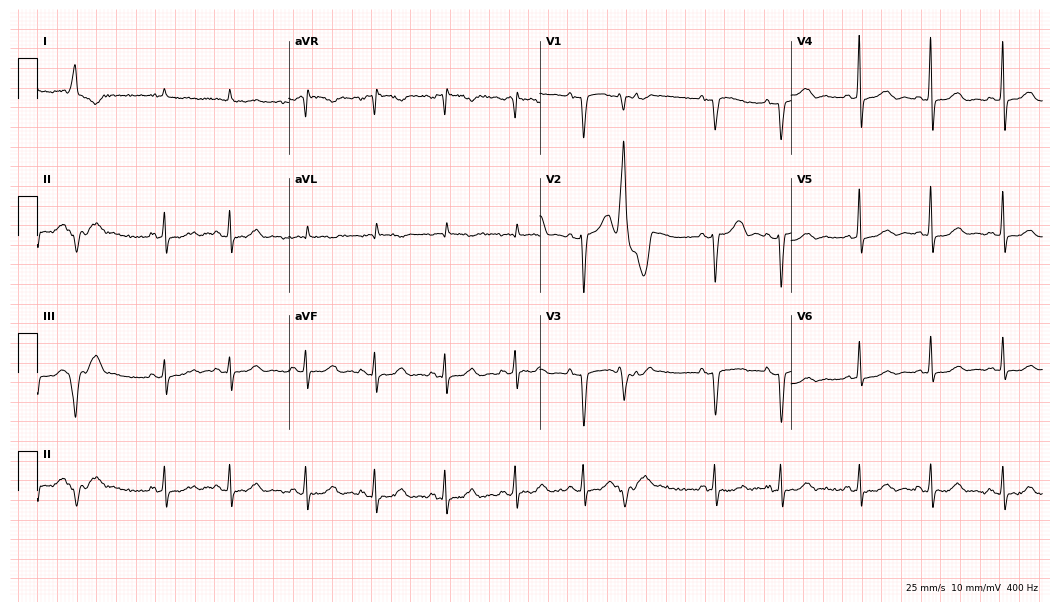
12-lead ECG (10.2-second recording at 400 Hz) from a woman, 83 years old. Screened for six findings — first-degree AV block, right bundle branch block, left bundle branch block, sinus bradycardia, atrial fibrillation, sinus tachycardia — none is recorded.